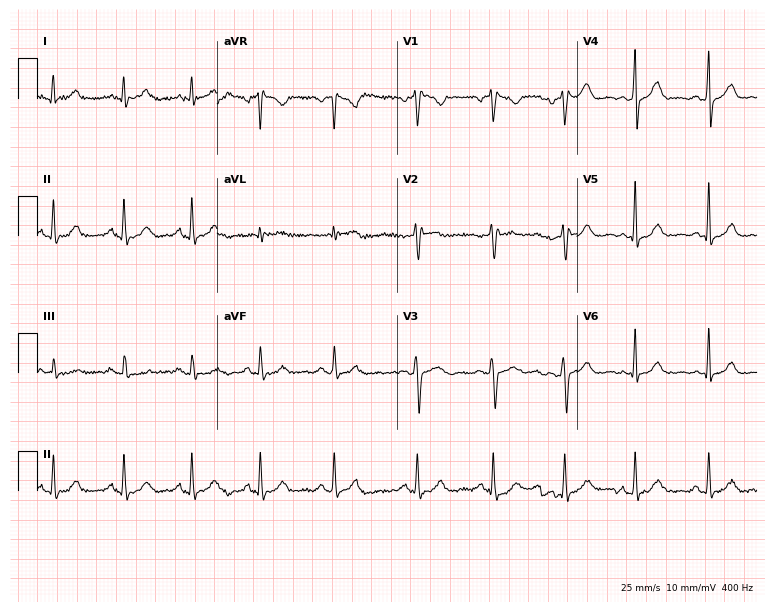
Electrocardiogram, a female patient, 47 years old. Of the six screened findings (first-degree AV block, right bundle branch block, left bundle branch block, sinus bradycardia, atrial fibrillation, sinus tachycardia), none is recorded. Other findings, if any, are not listed.